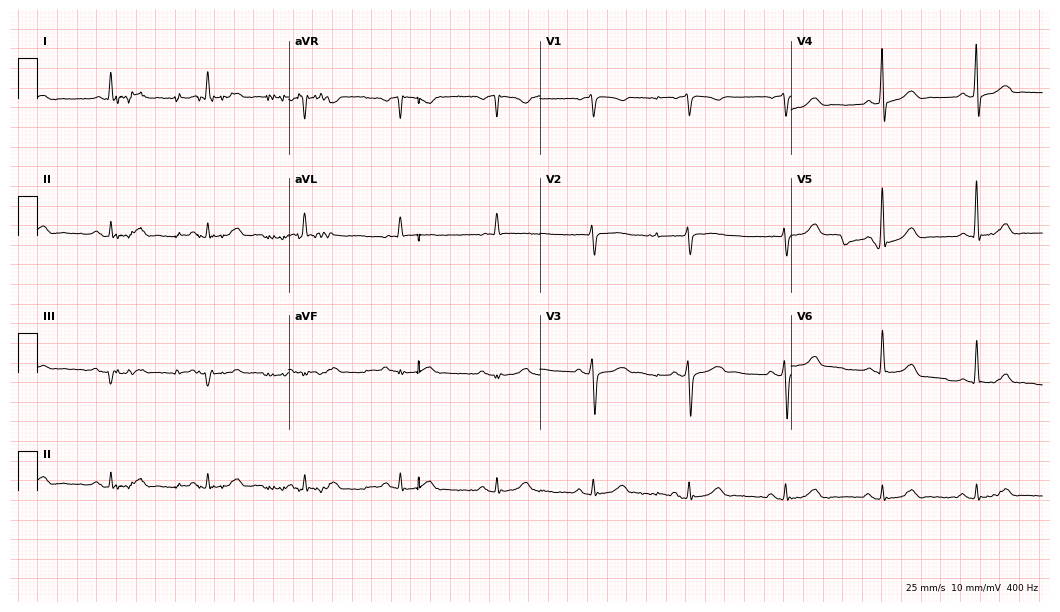
Electrocardiogram (10.2-second recording at 400 Hz), an 80-year-old woman. Of the six screened findings (first-degree AV block, right bundle branch block, left bundle branch block, sinus bradycardia, atrial fibrillation, sinus tachycardia), none is recorded.